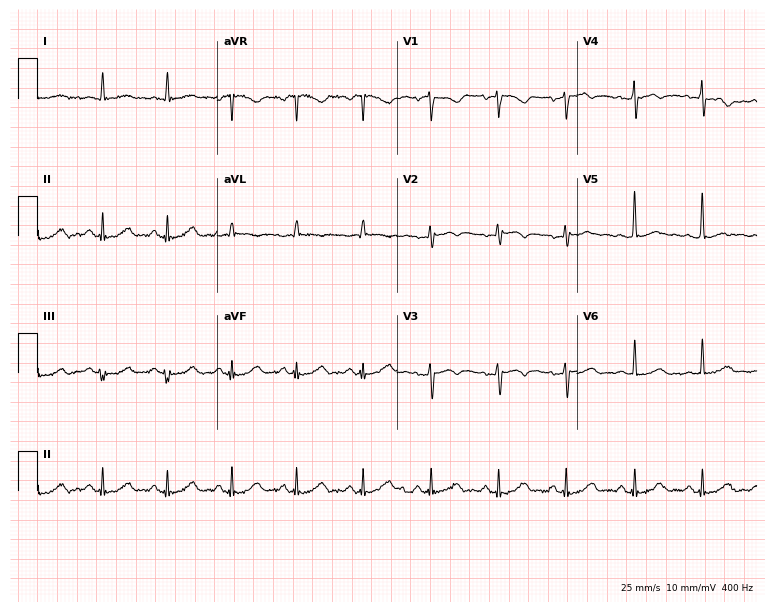
ECG (7.3-second recording at 400 Hz) — a 55-year-old female. Screened for six findings — first-degree AV block, right bundle branch block, left bundle branch block, sinus bradycardia, atrial fibrillation, sinus tachycardia — none is recorded. Findings outside these six are not listed.